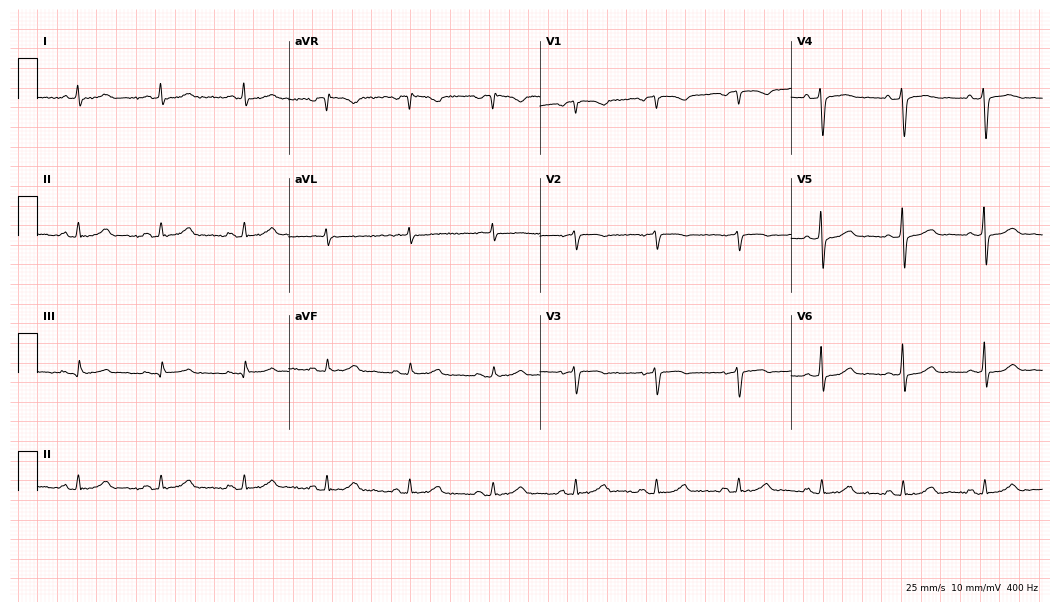
12-lead ECG (10.2-second recording at 400 Hz) from a female patient, 68 years old. Screened for six findings — first-degree AV block, right bundle branch block, left bundle branch block, sinus bradycardia, atrial fibrillation, sinus tachycardia — none is recorded. Findings outside these six are not listed.